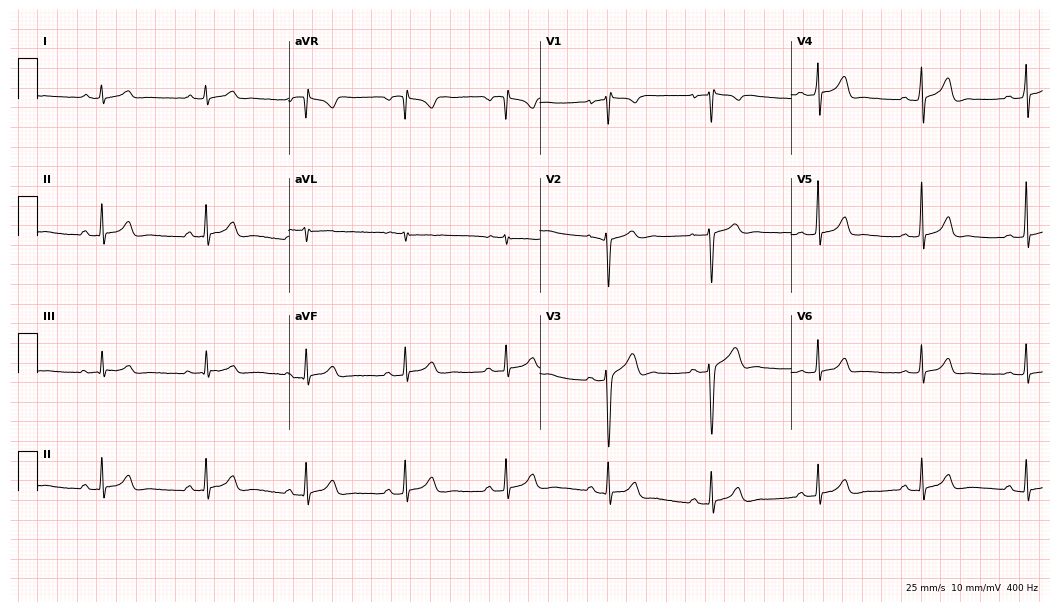
12-lead ECG from a man, 29 years old. Labelled as a normal ECG.